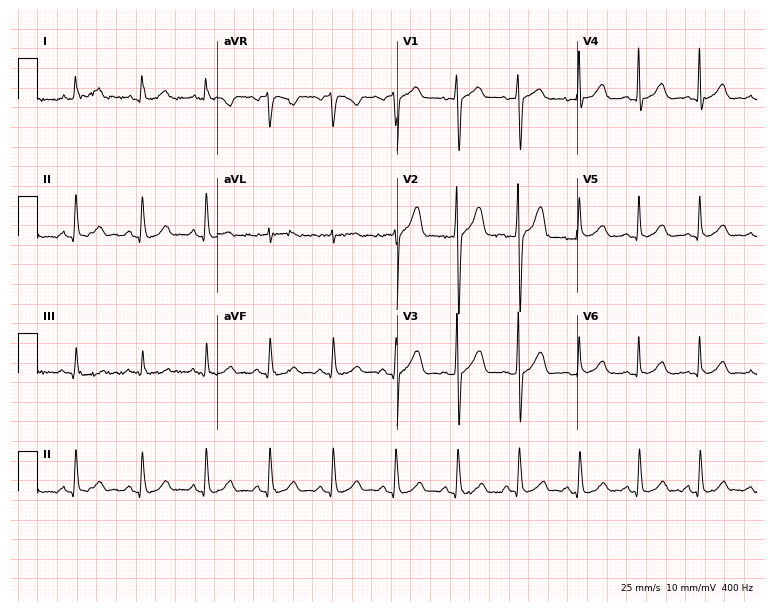
12-lead ECG from a 35-year-old male. Screened for six findings — first-degree AV block, right bundle branch block (RBBB), left bundle branch block (LBBB), sinus bradycardia, atrial fibrillation (AF), sinus tachycardia — none is recorded.